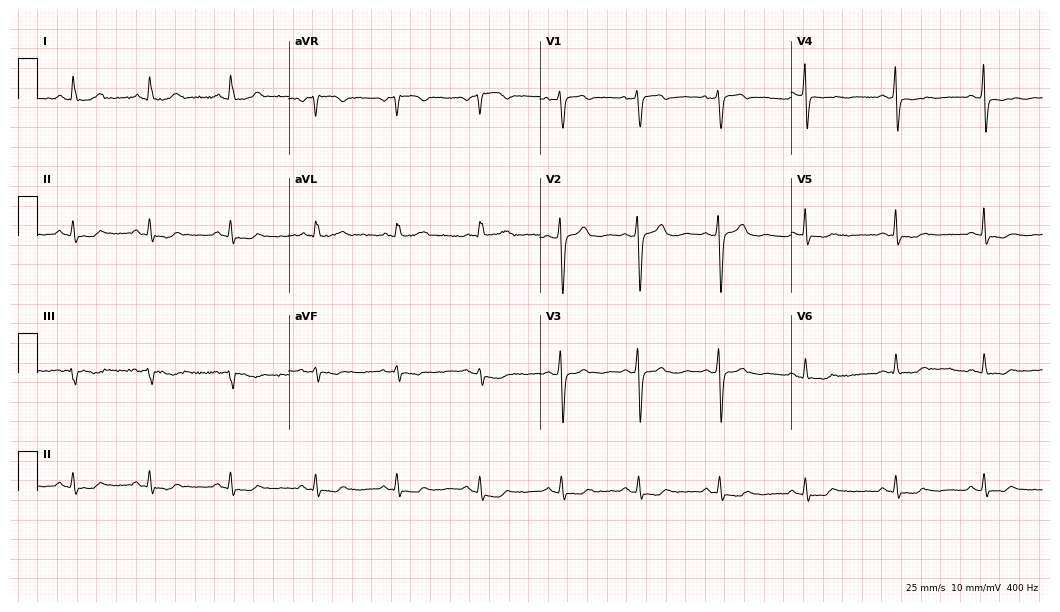
Resting 12-lead electrocardiogram (10.2-second recording at 400 Hz). Patient: a female, 49 years old. None of these six findings is recorded: first-degree AV block, right bundle branch block (RBBB), left bundle branch block (LBBB), sinus bradycardia, atrial fibrillation (AF), sinus tachycardia.